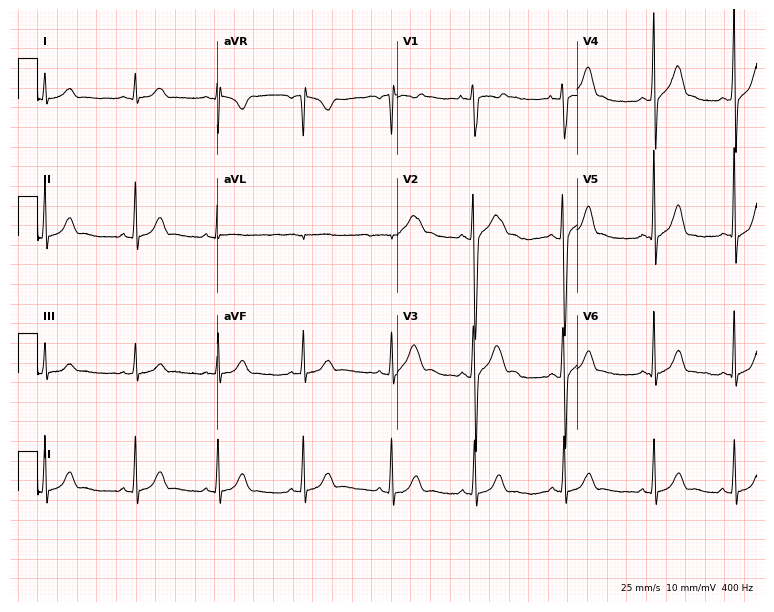
Standard 12-lead ECG recorded from an 18-year-old man (7.3-second recording at 400 Hz). Read as a normal ECG.